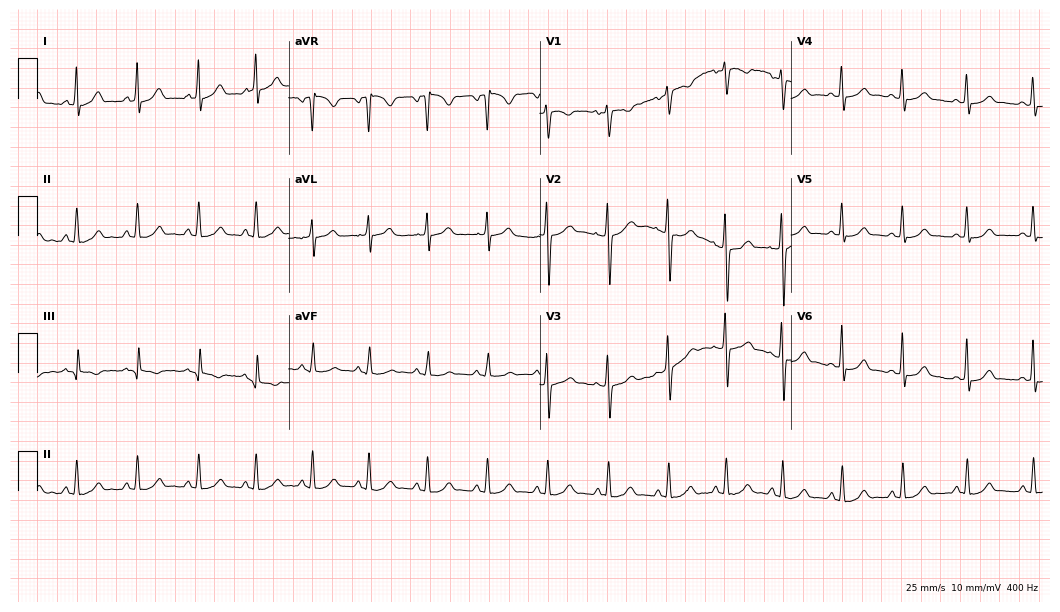
12-lead ECG from a woman, 27 years old (10.2-second recording at 400 Hz). Recorded interpretation: within normal limits.